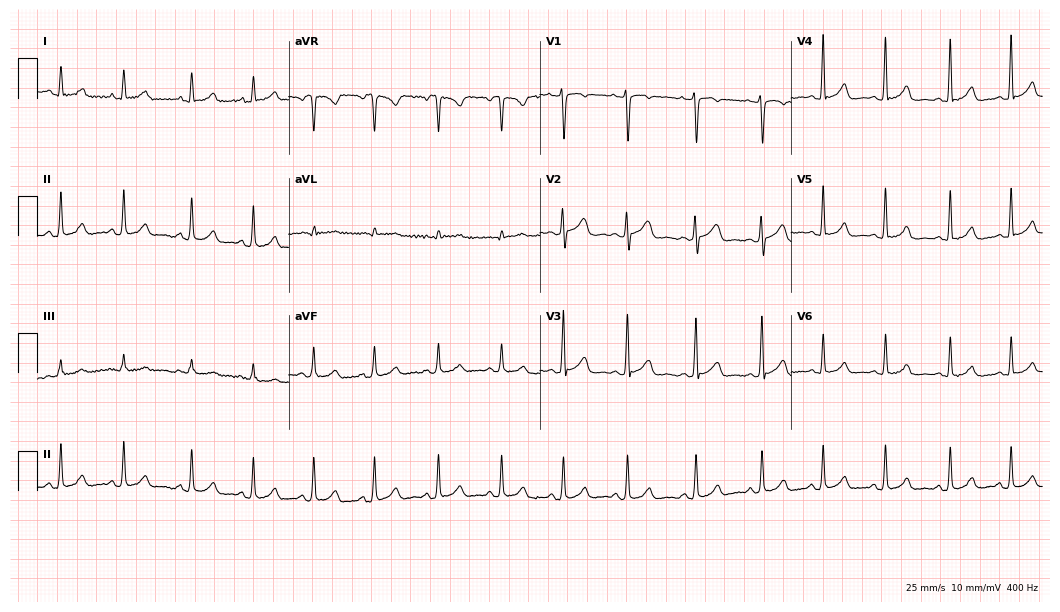
Electrocardiogram, a 19-year-old woman. Of the six screened findings (first-degree AV block, right bundle branch block, left bundle branch block, sinus bradycardia, atrial fibrillation, sinus tachycardia), none is recorded.